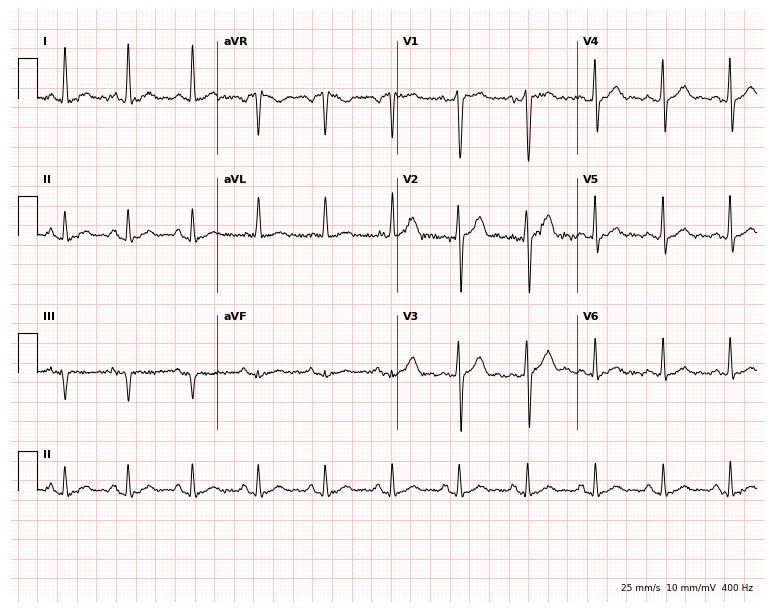
ECG (7.3-second recording at 400 Hz) — a 43-year-old male patient. Labelled as a normal ECG.